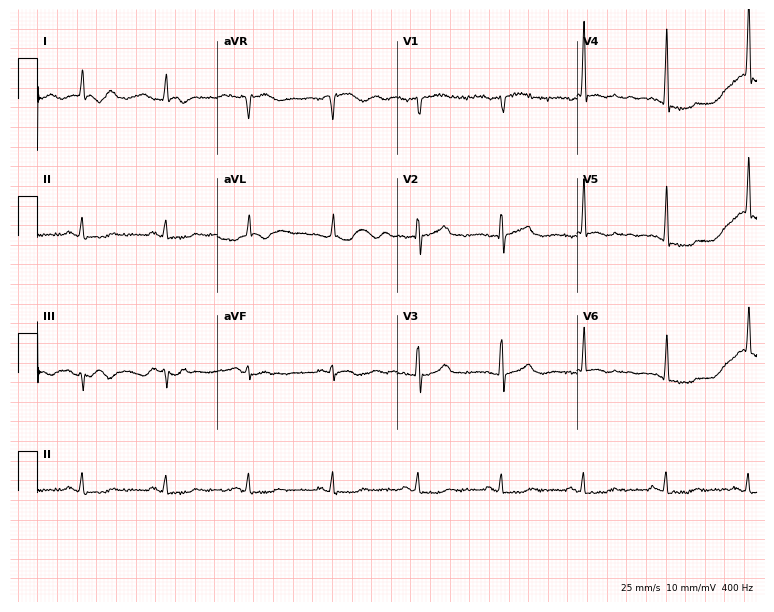
12-lead ECG from an 85-year-old woman. No first-degree AV block, right bundle branch block (RBBB), left bundle branch block (LBBB), sinus bradycardia, atrial fibrillation (AF) or sinus tachycardia recorded for this tracing.